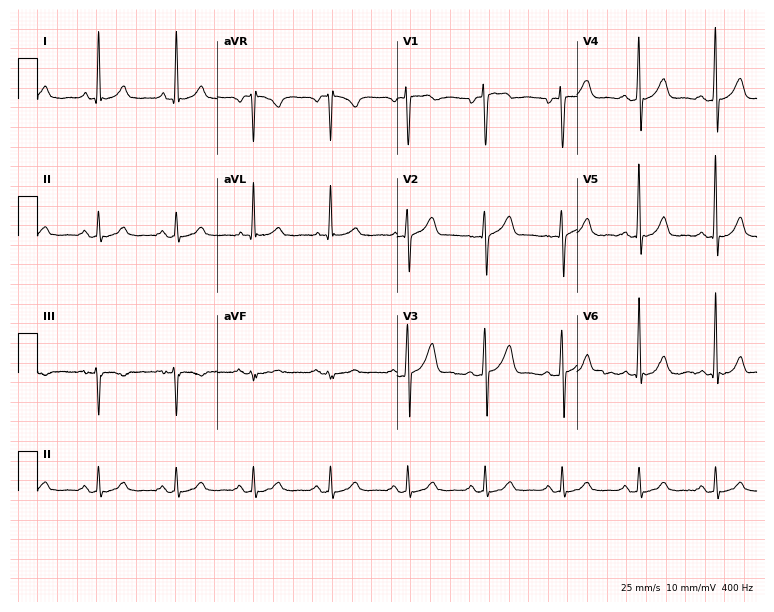
Resting 12-lead electrocardiogram (7.3-second recording at 400 Hz). Patient: a 59-year-old man. None of these six findings is recorded: first-degree AV block, right bundle branch block, left bundle branch block, sinus bradycardia, atrial fibrillation, sinus tachycardia.